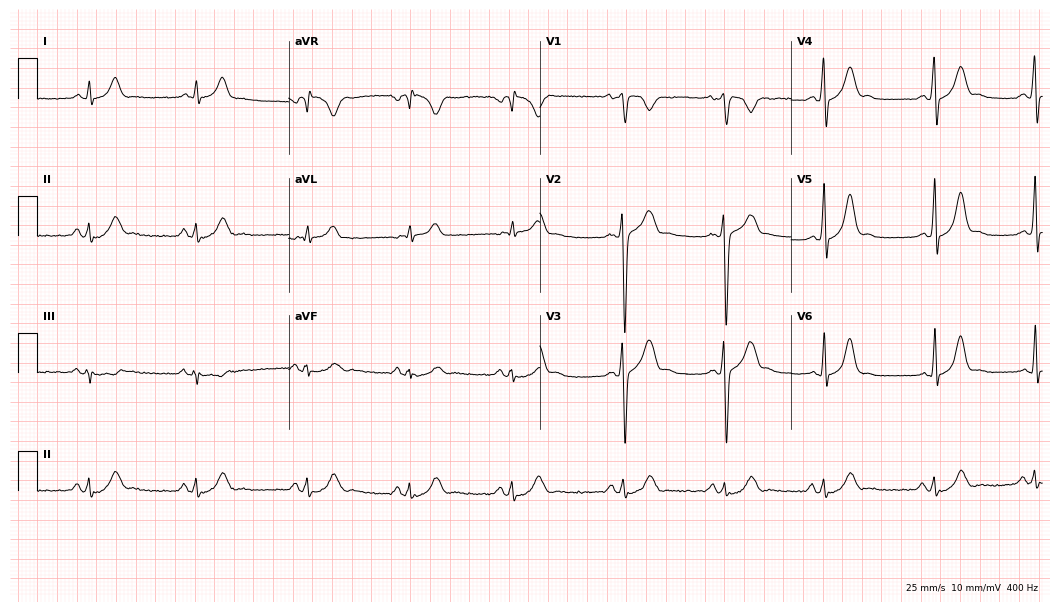
Electrocardiogram (10.2-second recording at 400 Hz), a 25-year-old male patient. Overall reading on record: normal ECG.